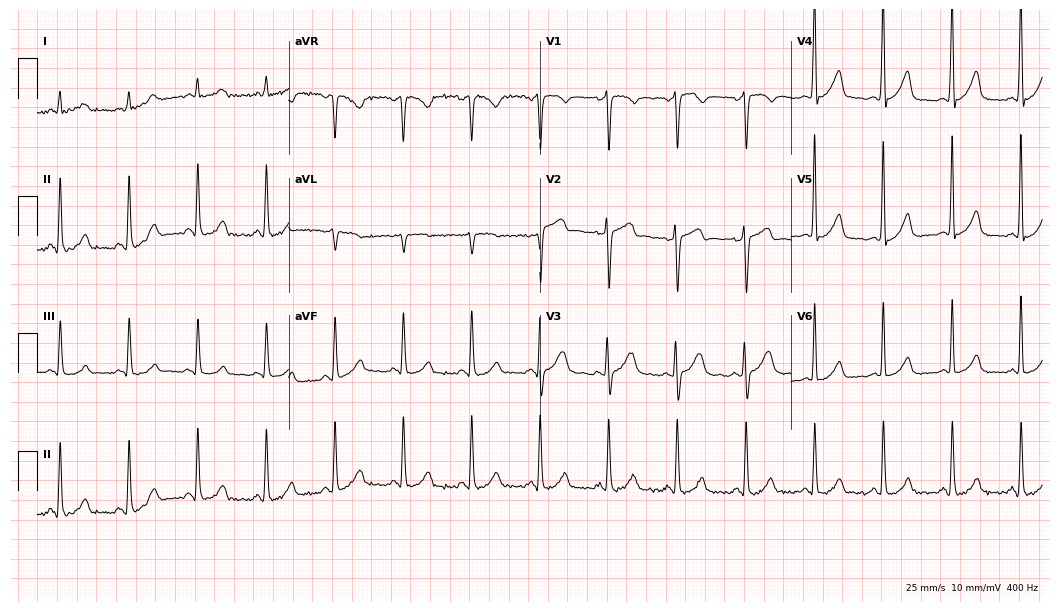
12-lead ECG from a 61-year-old male (10.2-second recording at 400 Hz). No first-degree AV block, right bundle branch block, left bundle branch block, sinus bradycardia, atrial fibrillation or sinus tachycardia recorded for this tracing.